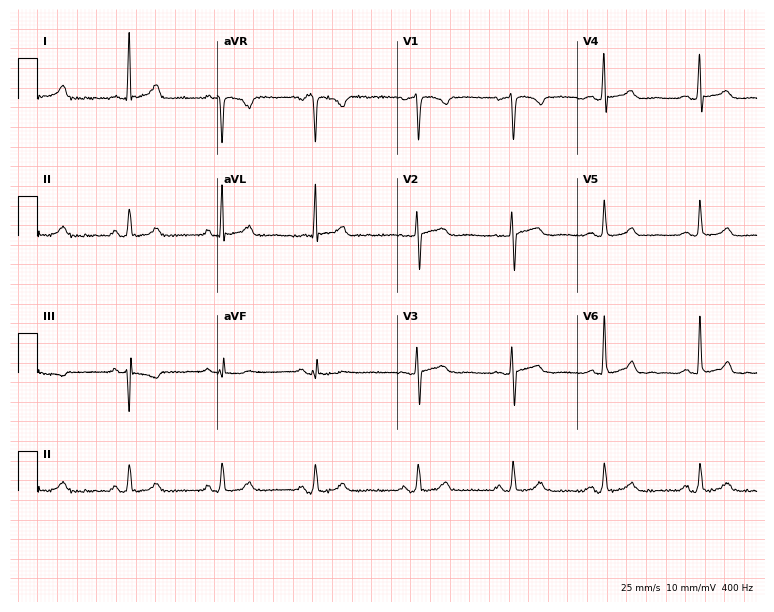
12-lead ECG from a 52-year-old female (7.3-second recording at 400 Hz). No first-degree AV block, right bundle branch block, left bundle branch block, sinus bradycardia, atrial fibrillation or sinus tachycardia recorded for this tracing. Findings outside these six are not listed.